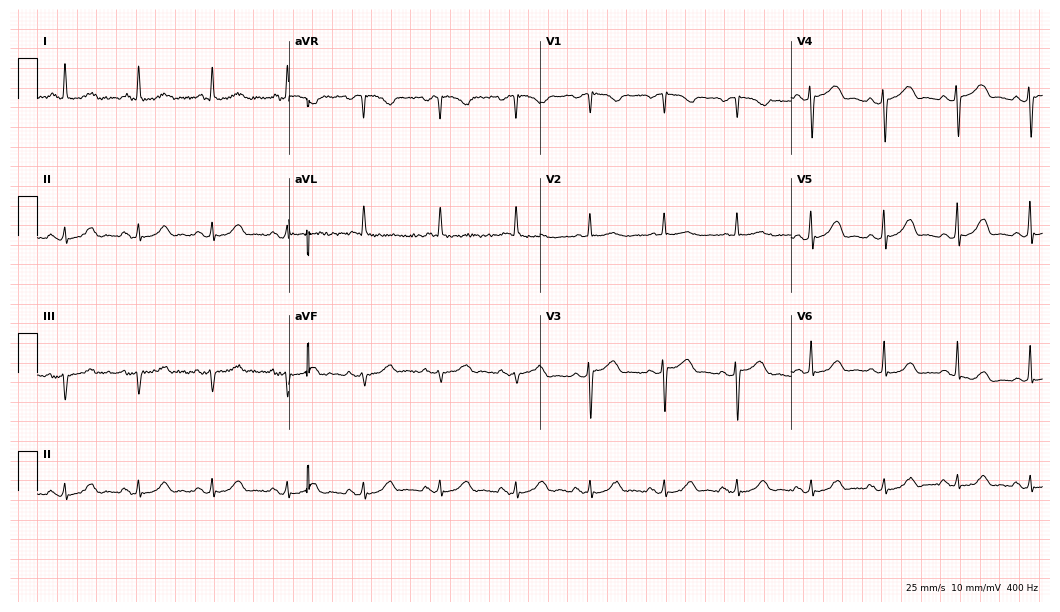
Electrocardiogram, a woman, 82 years old. Of the six screened findings (first-degree AV block, right bundle branch block, left bundle branch block, sinus bradycardia, atrial fibrillation, sinus tachycardia), none is recorded. Findings outside these six are not listed.